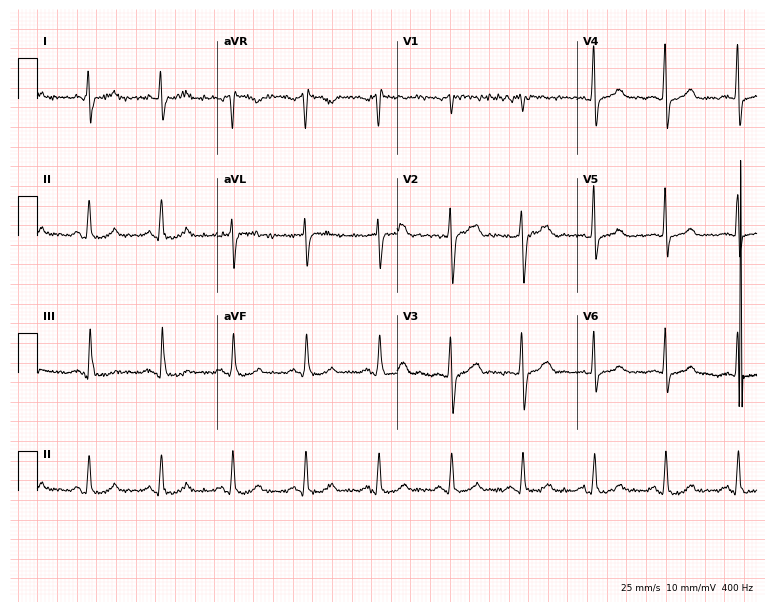
12-lead ECG from a 51-year-old male. Recorded interpretation: within normal limits.